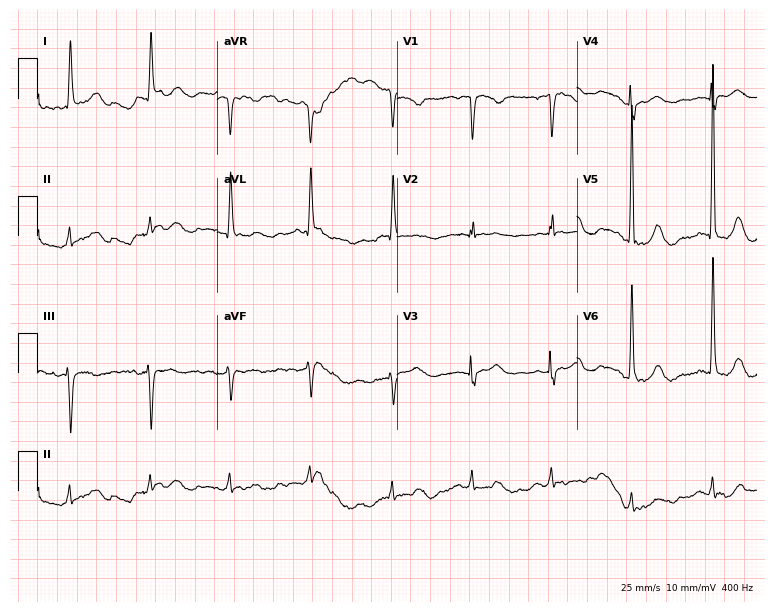
12-lead ECG (7.3-second recording at 400 Hz) from a woman, 85 years old. Labelled as a normal ECG.